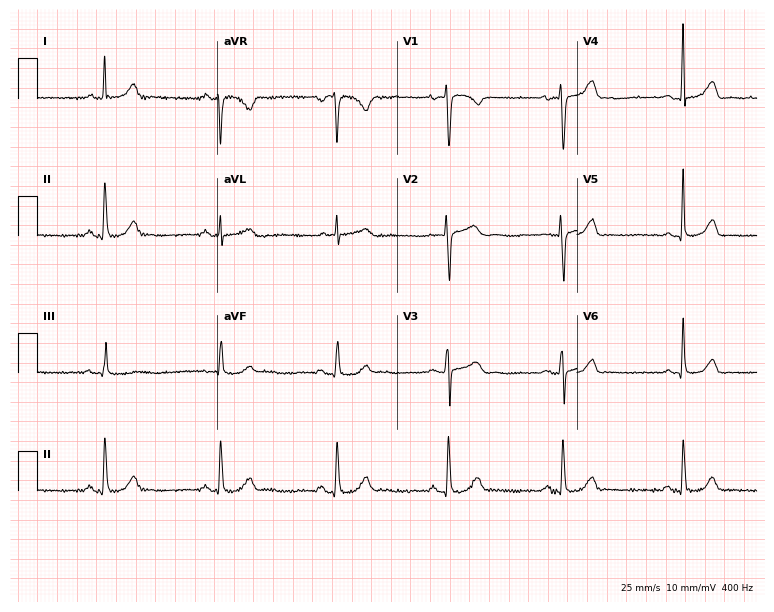
Standard 12-lead ECG recorded from a woman, 43 years old (7.3-second recording at 400 Hz). None of these six findings is recorded: first-degree AV block, right bundle branch block, left bundle branch block, sinus bradycardia, atrial fibrillation, sinus tachycardia. Only these six findings were labelled.